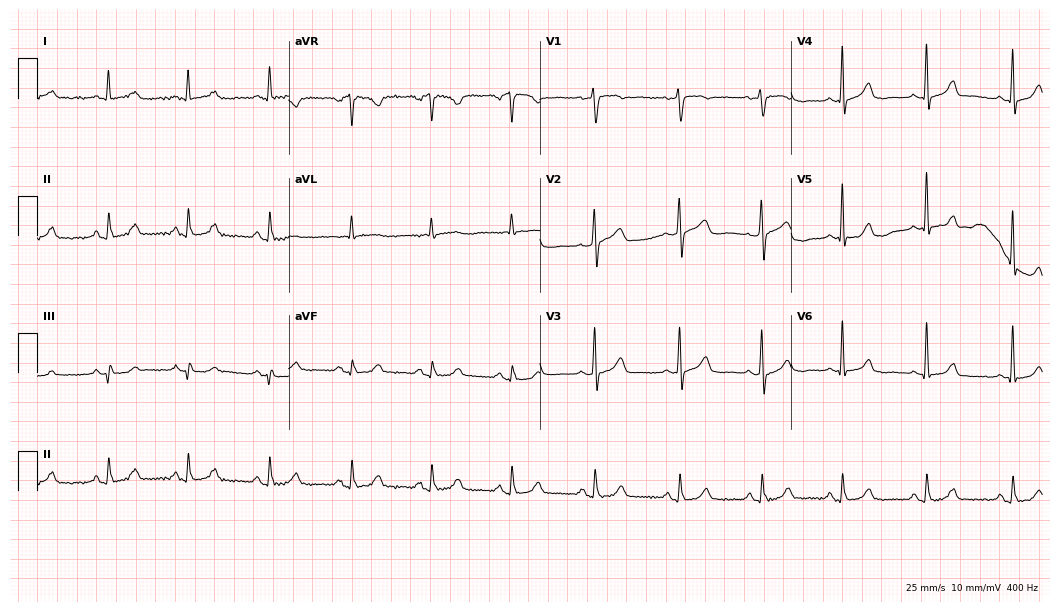
12-lead ECG from a 60-year-old female patient. Screened for six findings — first-degree AV block, right bundle branch block, left bundle branch block, sinus bradycardia, atrial fibrillation, sinus tachycardia — none is recorded. Findings outside these six are not listed.